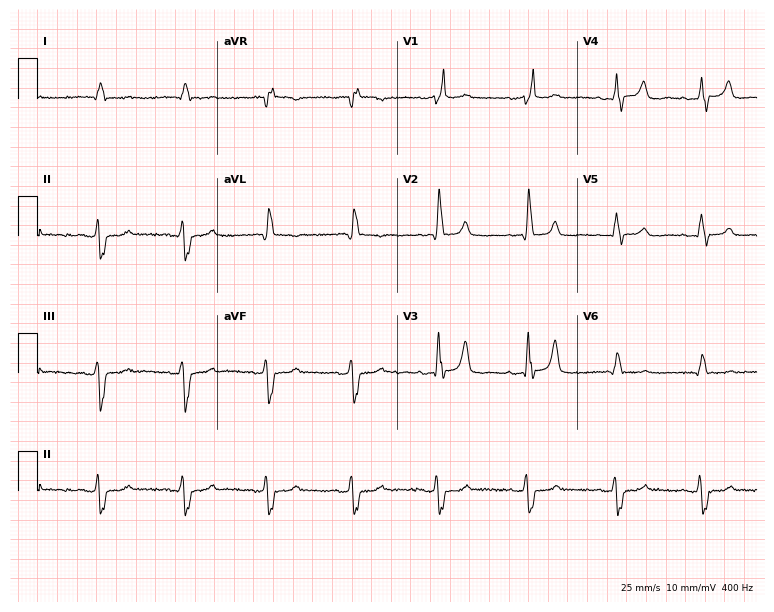
12-lead ECG from a female, 78 years old (7.3-second recording at 400 Hz). Shows right bundle branch block.